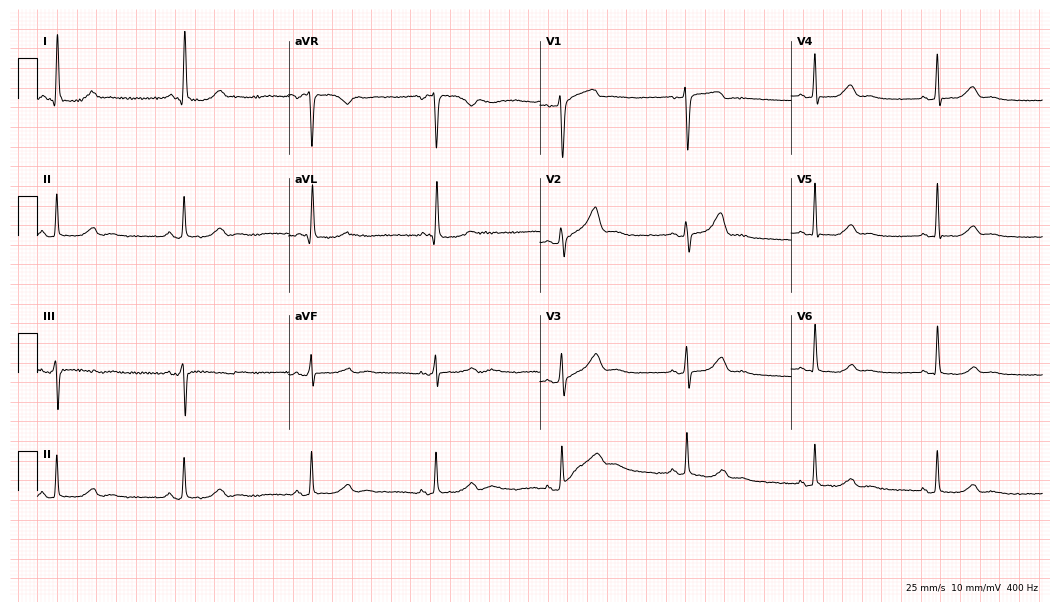
12-lead ECG from a 52-year-old female (10.2-second recording at 400 Hz). Shows sinus bradycardia (a sinus rate of 50 beats per minute or less).